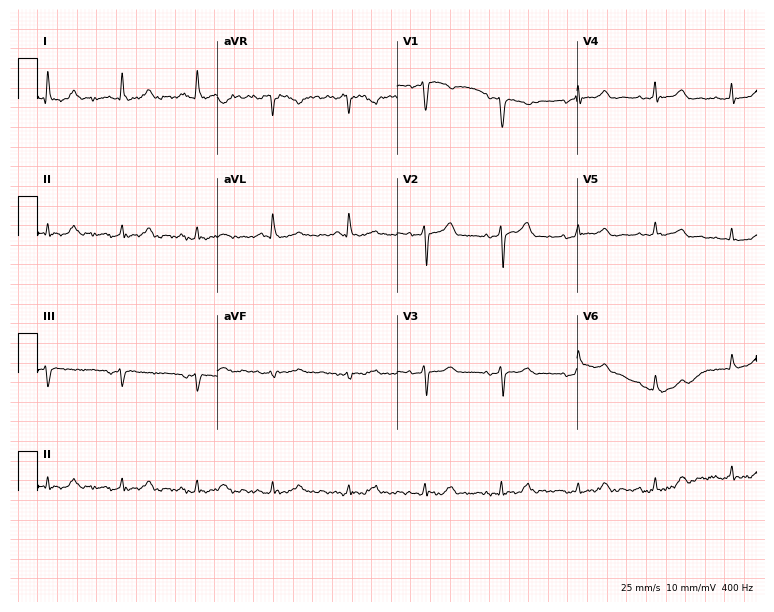
12-lead ECG from an 80-year-old female patient. Screened for six findings — first-degree AV block, right bundle branch block, left bundle branch block, sinus bradycardia, atrial fibrillation, sinus tachycardia — none is recorded.